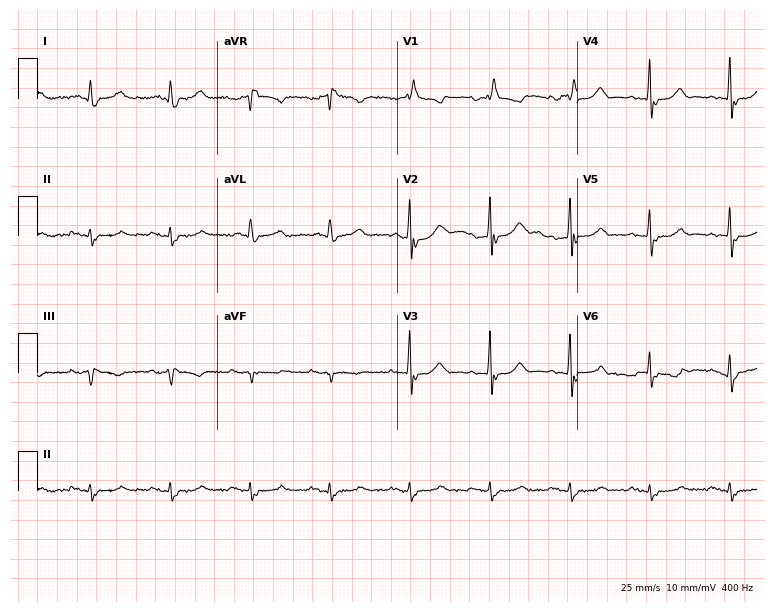
12-lead ECG from a 75-year-old female. Shows right bundle branch block.